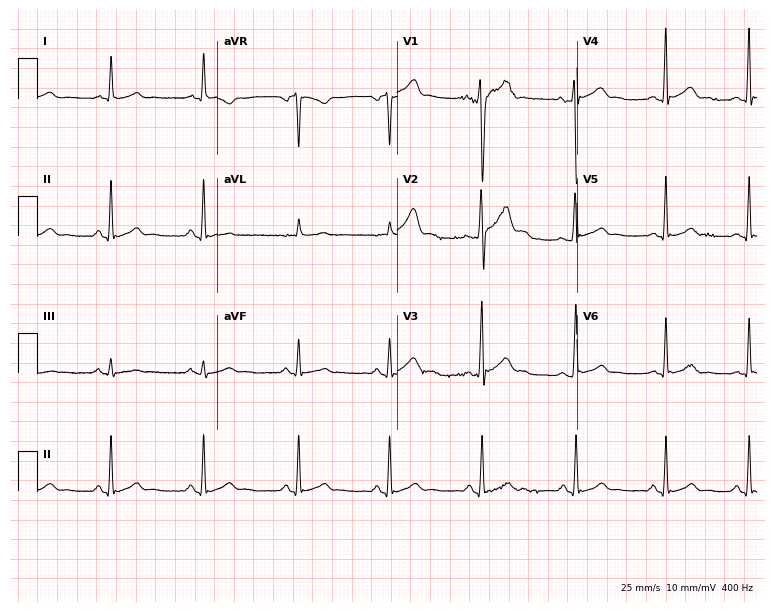
ECG (7.3-second recording at 400 Hz) — a male patient, 30 years old. Labelled as a normal ECG.